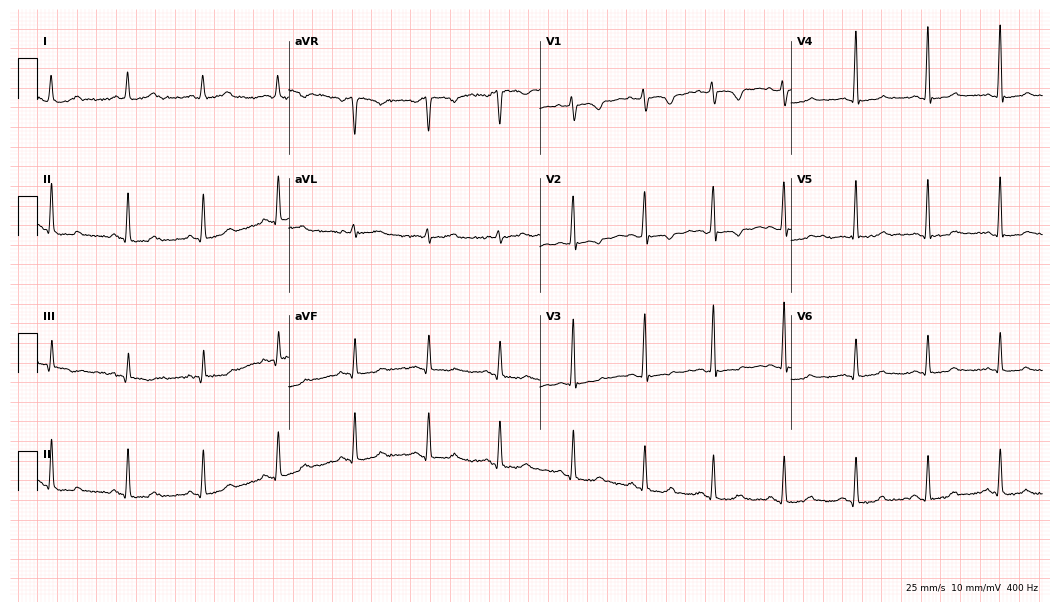
Standard 12-lead ECG recorded from a 46-year-old female (10.2-second recording at 400 Hz). None of these six findings is recorded: first-degree AV block, right bundle branch block, left bundle branch block, sinus bradycardia, atrial fibrillation, sinus tachycardia.